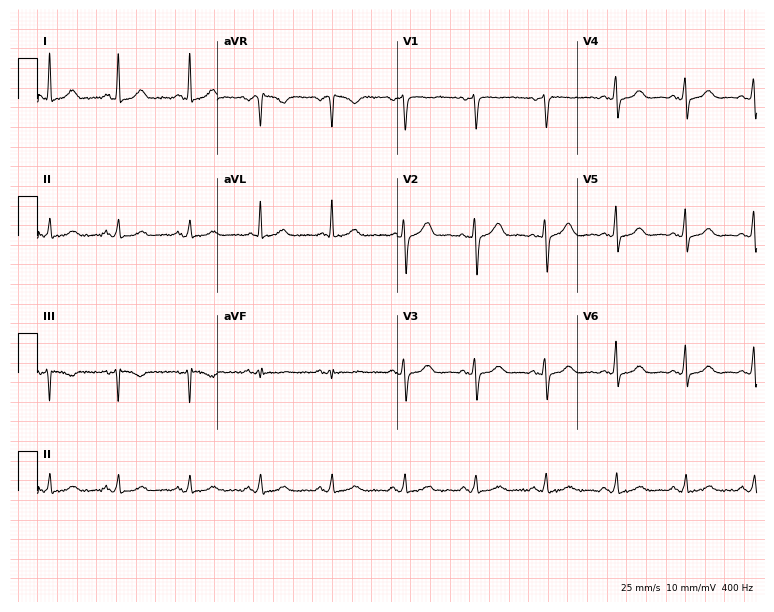
Standard 12-lead ECG recorded from a 57-year-old female (7.3-second recording at 400 Hz). Read as a normal ECG.